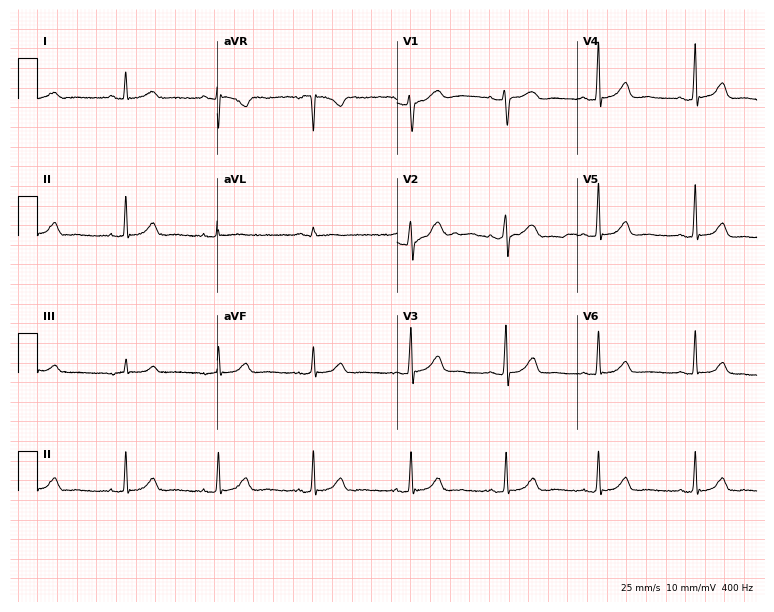
ECG — a woman, 37 years old. Labelled as a normal ECG.